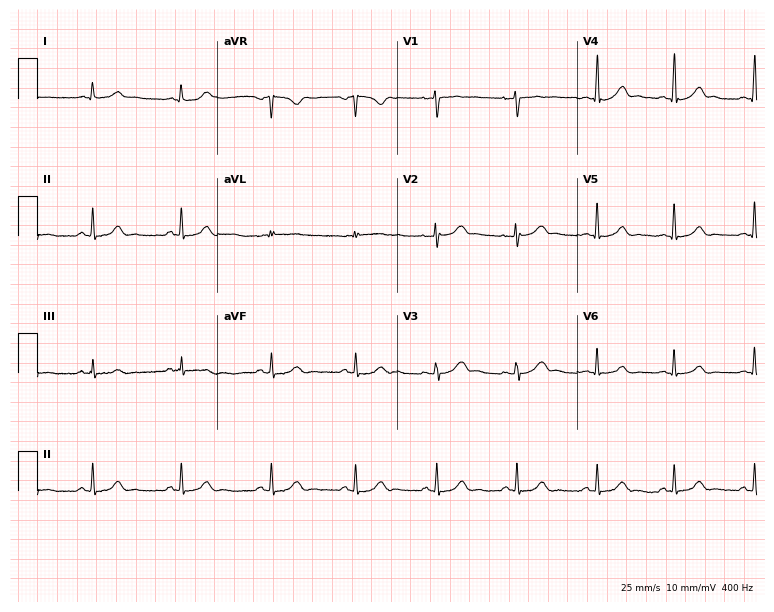
Resting 12-lead electrocardiogram. Patient: a female, 42 years old. None of these six findings is recorded: first-degree AV block, right bundle branch block, left bundle branch block, sinus bradycardia, atrial fibrillation, sinus tachycardia.